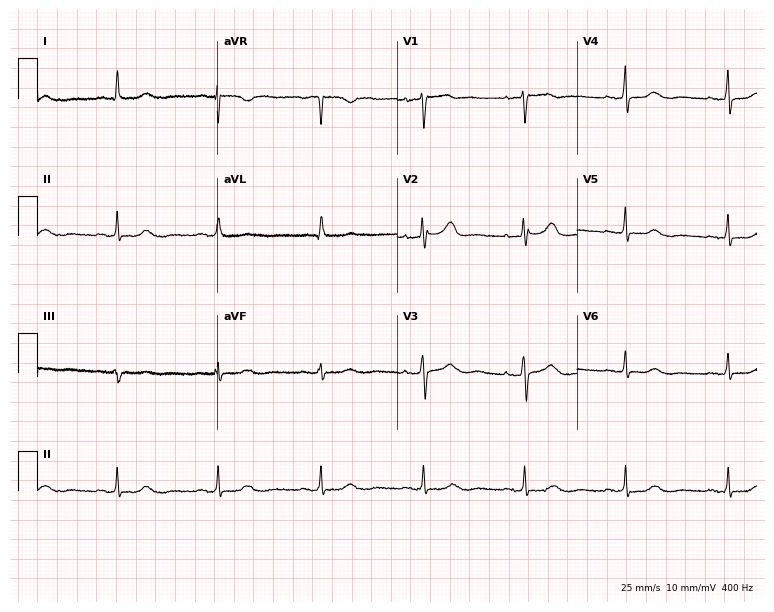
ECG (7.3-second recording at 400 Hz) — a 66-year-old female patient. Screened for six findings — first-degree AV block, right bundle branch block (RBBB), left bundle branch block (LBBB), sinus bradycardia, atrial fibrillation (AF), sinus tachycardia — none is recorded. Only these six findings were labelled.